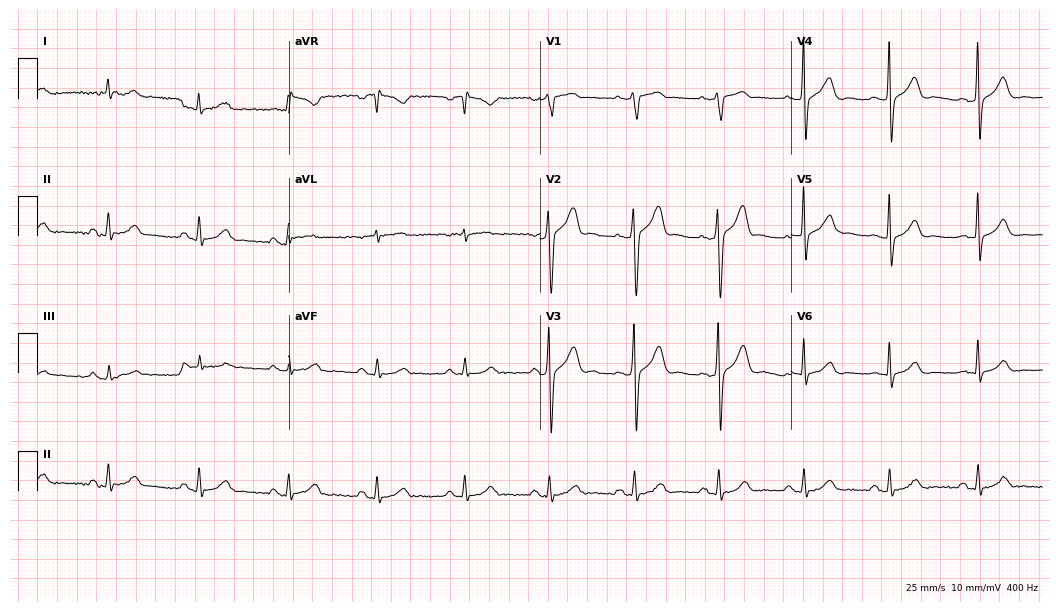
Standard 12-lead ECG recorded from a 50-year-old man (10.2-second recording at 400 Hz). Read as a normal ECG.